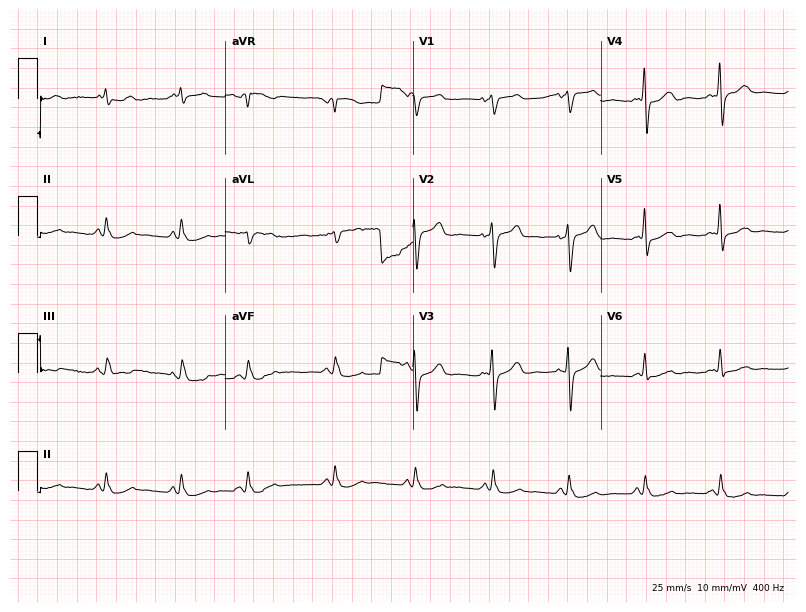
Standard 12-lead ECG recorded from a 72-year-old male. Read as a normal ECG.